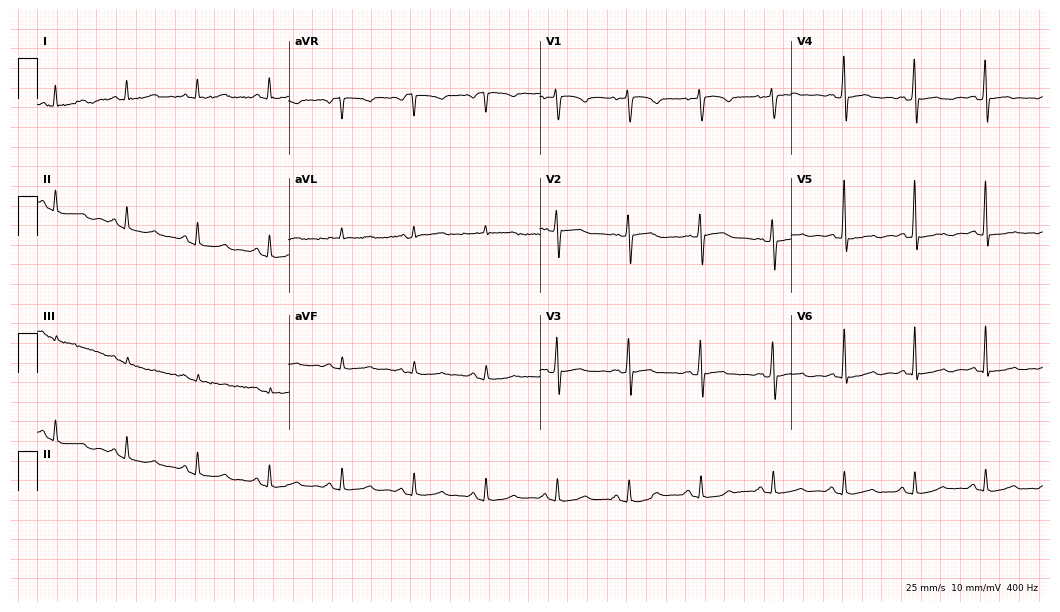
Electrocardiogram (10.2-second recording at 400 Hz), a 56-year-old female. Overall reading on record: normal ECG.